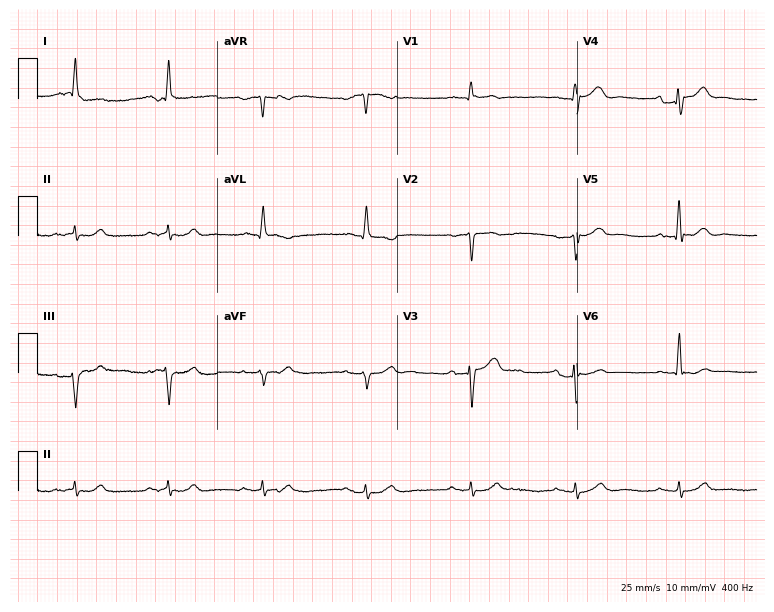
ECG — a 62-year-old man. Screened for six findings — first-degree AV block, right bundle branch block, left bundle branch block, sinus bradycardia, atrial fibrillation, sinus tachycardia — none is recorded. Only these six findings were labelled.